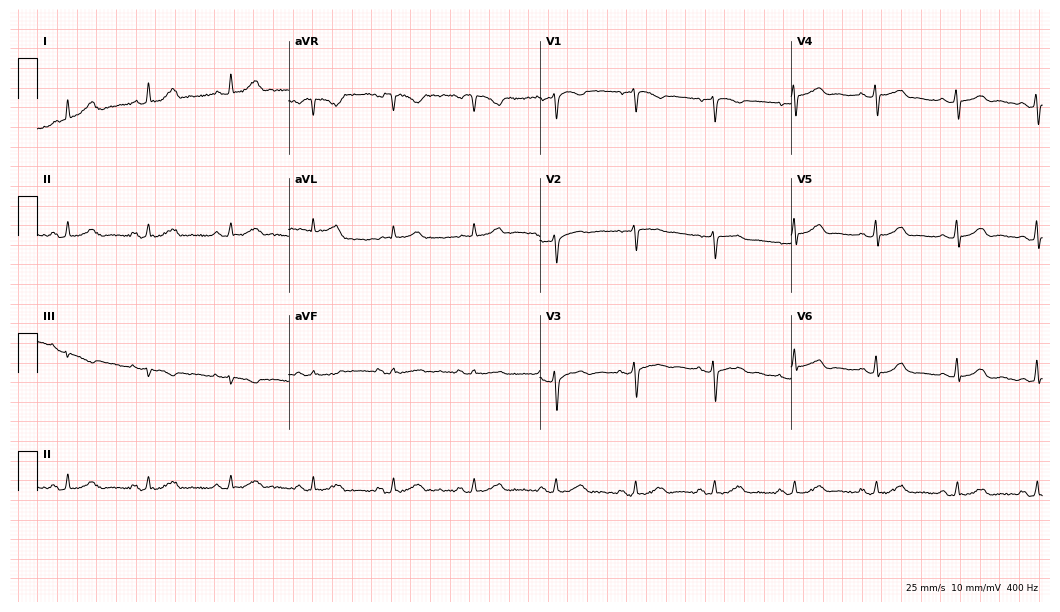
Resting 12-lead electrocardiogram (10.2-second recording at 400 Hz). Patient: a woman, 45 years old. None of these six findings is recorded: first-degree AV block, right bundle branch block (RBBB), left bundle branch block (LBBB), sinus bradycardia, atrial fibrillation (AF), sinus tachycardia. Findings outside these six are not listed.